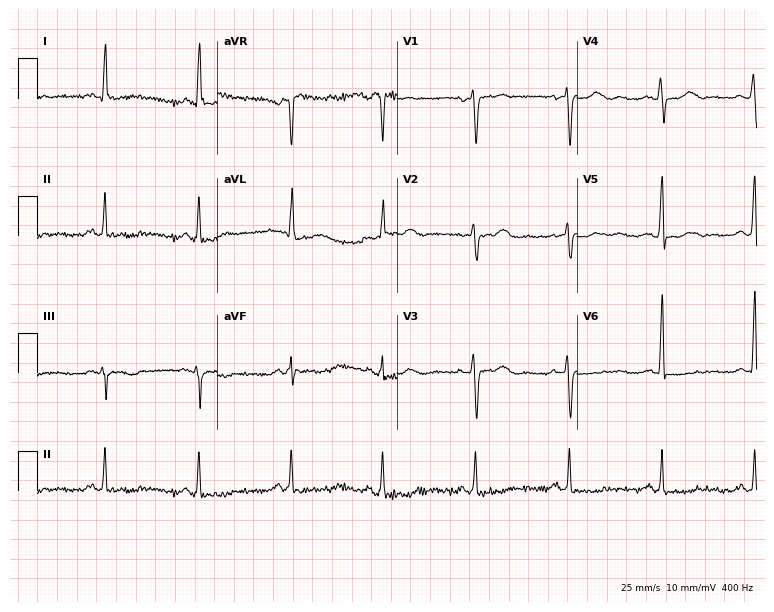
ECG (7.3-second recording at 400 Hz) — a female patient, 47 years old. Screened for six findings — first-degree AV block, right bundle branch block, left bundle branch block, sinus bradycardia, atrial fibrillation, sinus tachycardia — none is recorded. Findings outside these six are not listed.